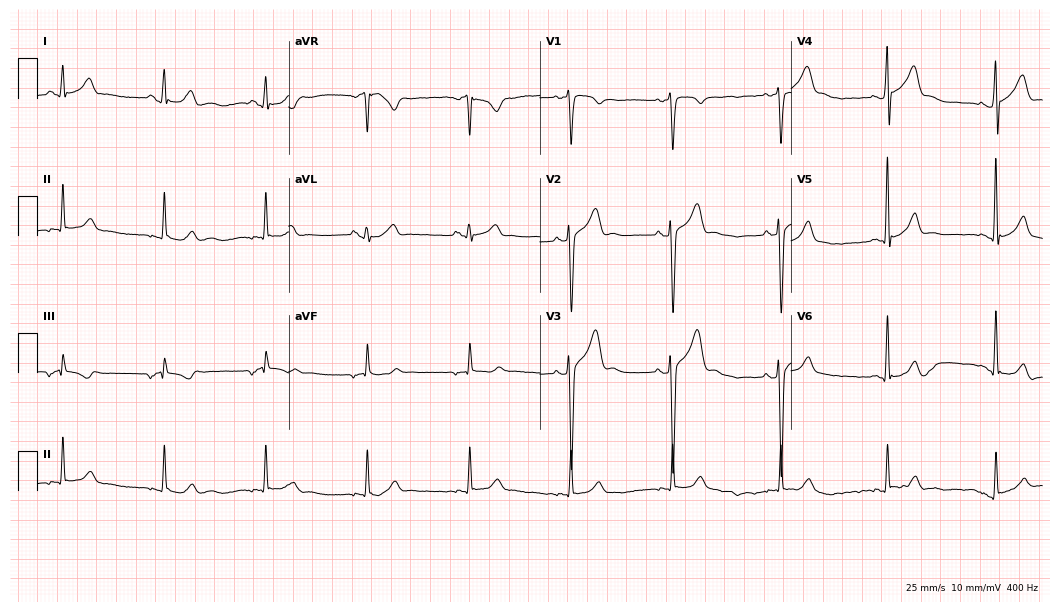
ECG (10.2-second recording at 400 Hz) — a male patient, 34 years old. Labelled as a normal ECG.